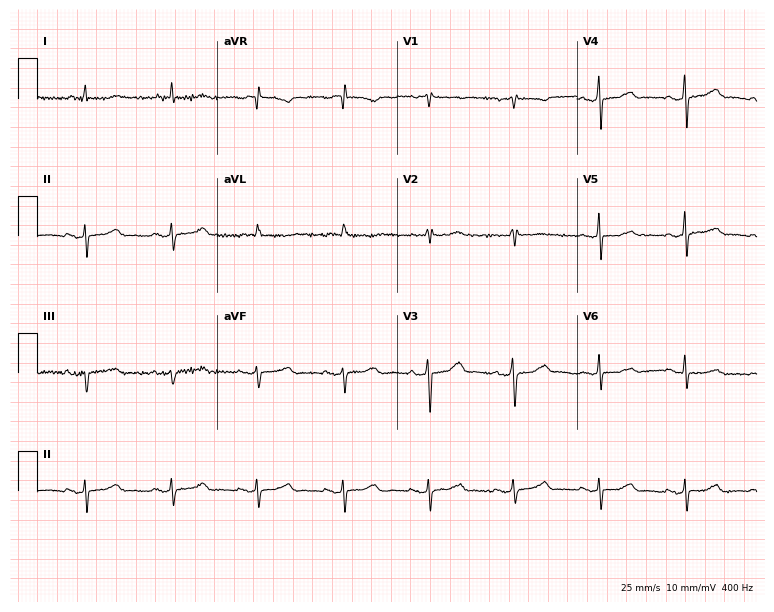
Standard 12-lead ECG recorded from a 67-year-old woman. None of these six findings is recorded: first-degree AV block, right bundle branch block, left bundle branch block, sinus bradycardia, atrial fibrillation, sinus tachycardia.